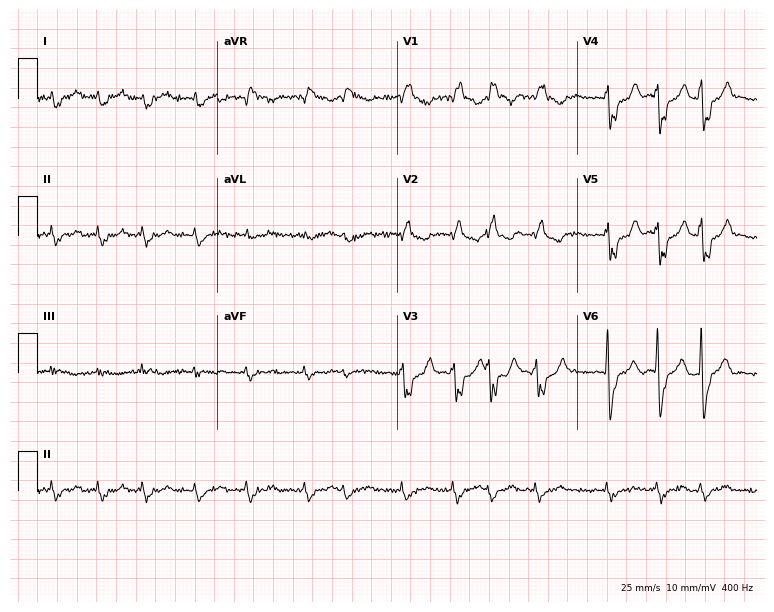
Electrocardiogram, a male patient, 84 years old. Interpretation includes right bundle branch block, atrial fibrillation.